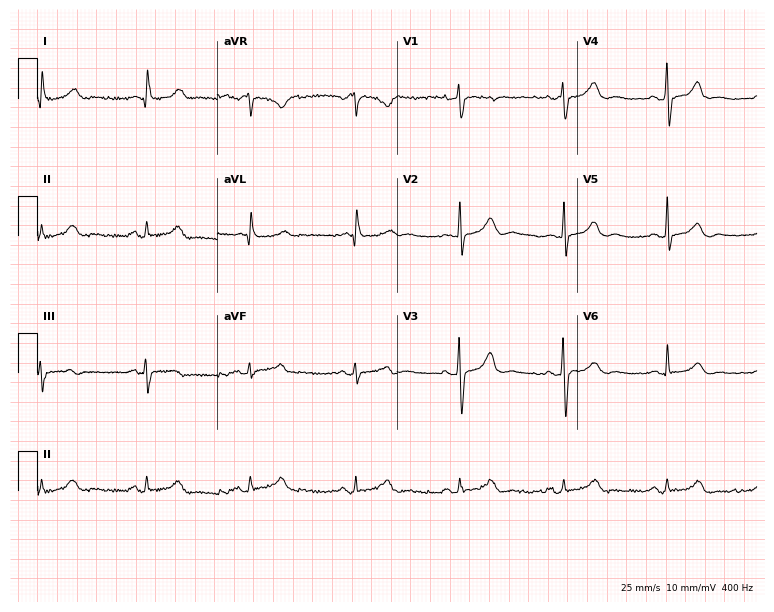
12-lead ECG from a female patient, 61 years old (7.3-second recording at 400 Hz). Recorded interpretation: within normal limits.